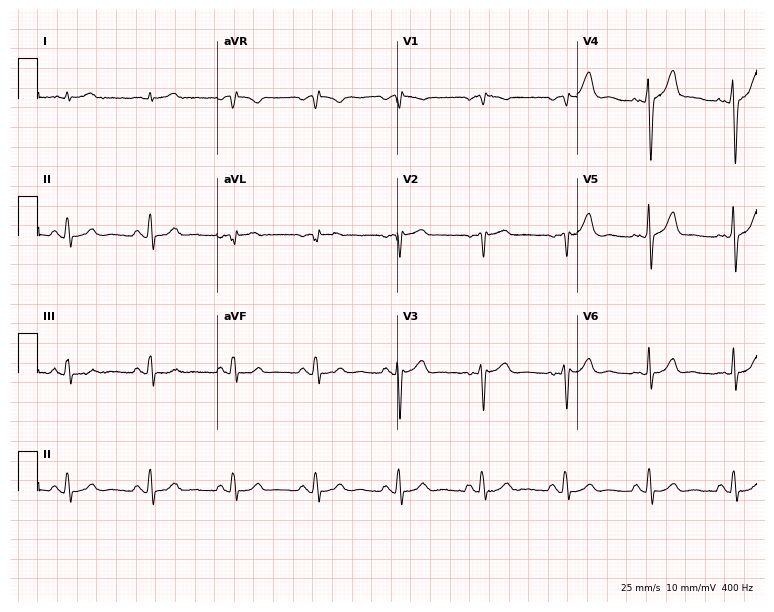
Resting 12-lead electrocardiogram. Patient: an 81-year-old male. None of these six findings is recorded: first-degree AV block, right bundle branch block (RBBB), left bundle branch block (LBBB), sinus bradycardia, atrial fibrillation (AF), sinus tachycardia. Other findings, if any, are not listed.